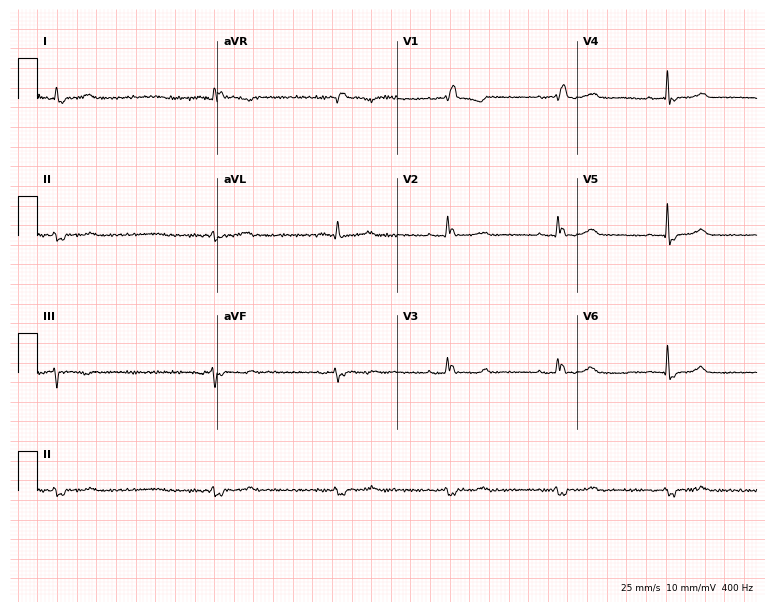
12-lead ECG from a 72-year-old woman (7.3-second recording at 400 Hz). Shows right bundle branch block, atrial fibrillation.